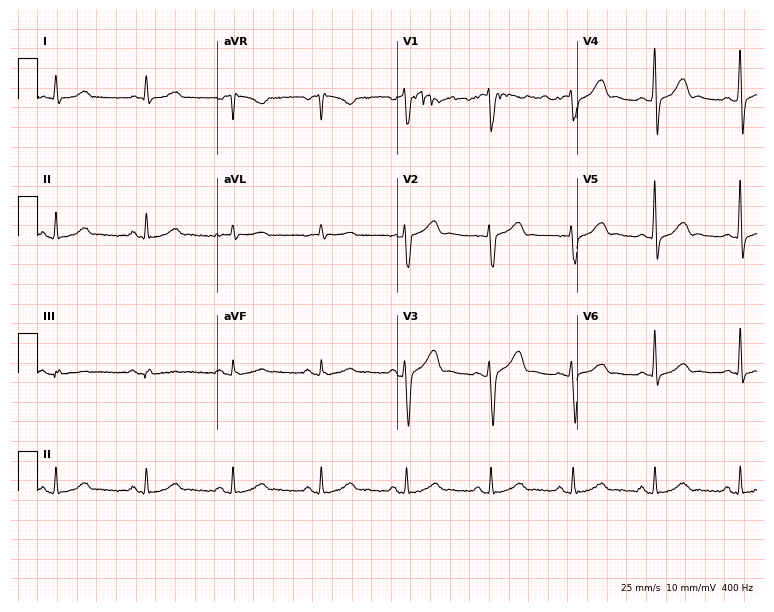
12-lead ECG (7.3-second recording at 400 Hz) from a 54-year-old female. Labelled as a normal ECG.